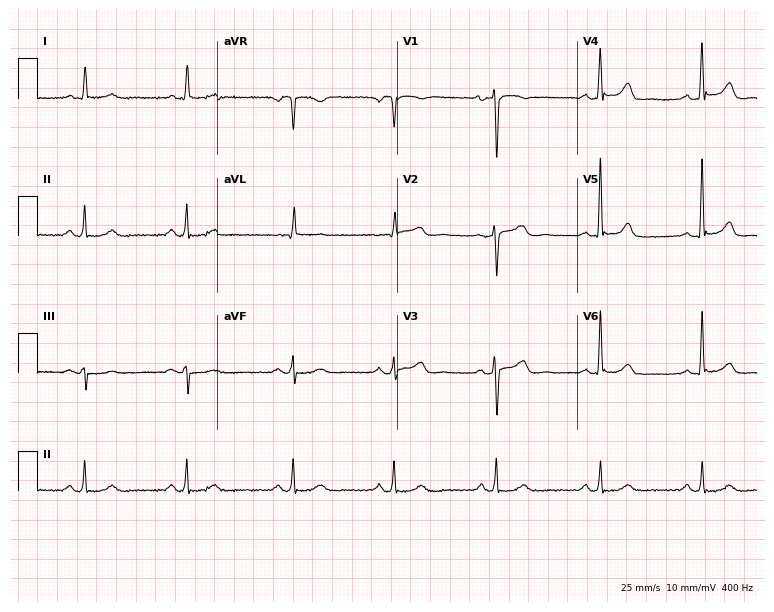
12-lead ECG (7.3-second recording at 400 Hz) from a 63-year-old female. Screened for six findings — first-degree AV block, right bundle branch block, left bundle branch block, sinus bradycardia, atrial fibrillation, sinus tachycardia — none is recorded.